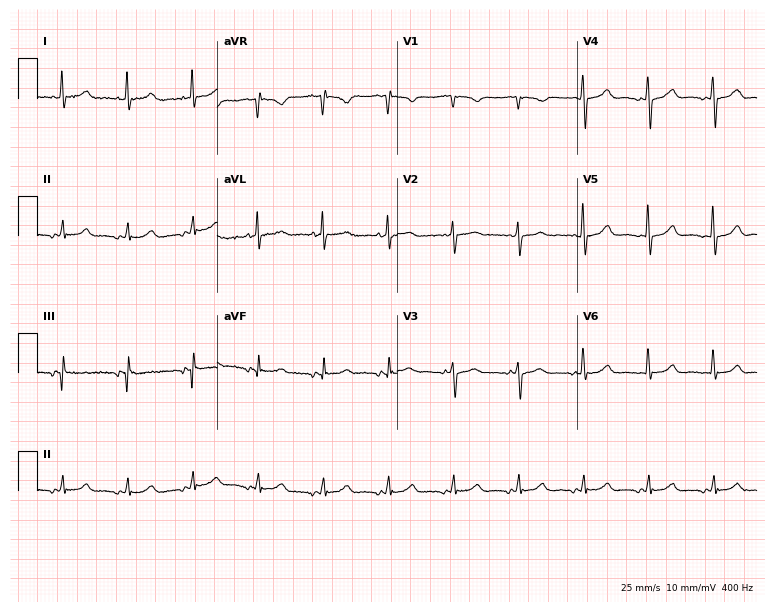
Electrocardiogram, an 81-year-old man. Overall reading on record: normal ECG.